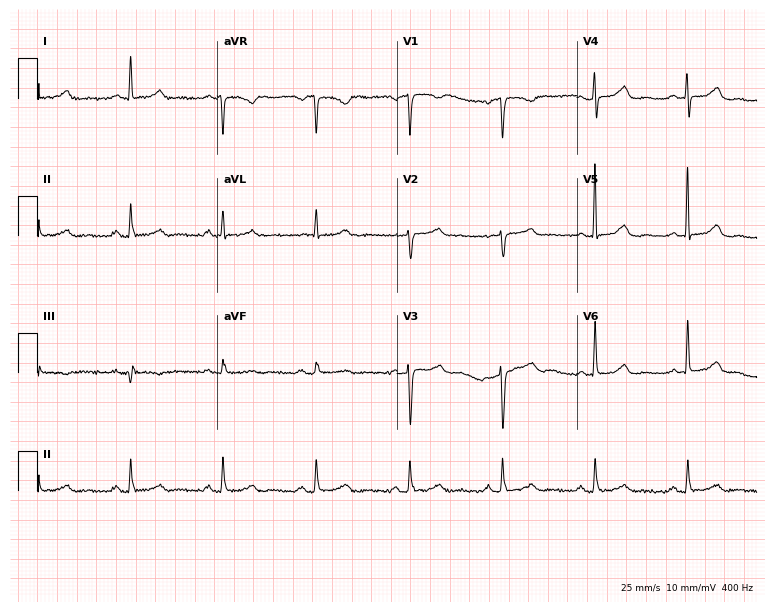
12-lead ECG from a woman, 80 years old. Recorded interpretation: within normal limits.